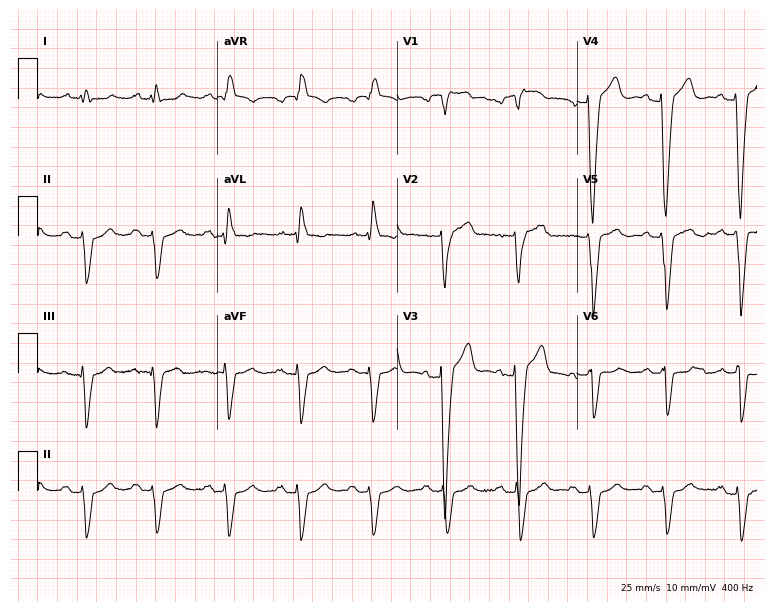
Resting 12-lead electrocardiogram. Patient: a male, 67 years old. The tracing shows right bundle branch block (RBBB).